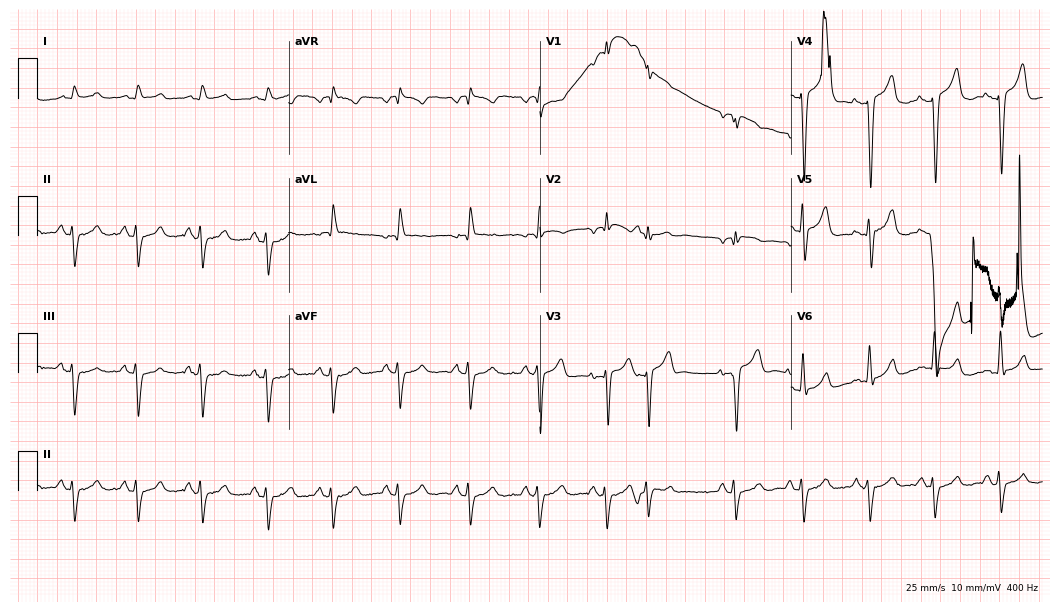
12-lead ECG from a 72-year-old male. No first-degree AV block, right bundle branch block (RBBB), left bundle branch block (LBBB), sinus bradycardia, atrial fibrillation (AF) or sinus tachycardia recorded for this tracing. Only these six findings were labelled.